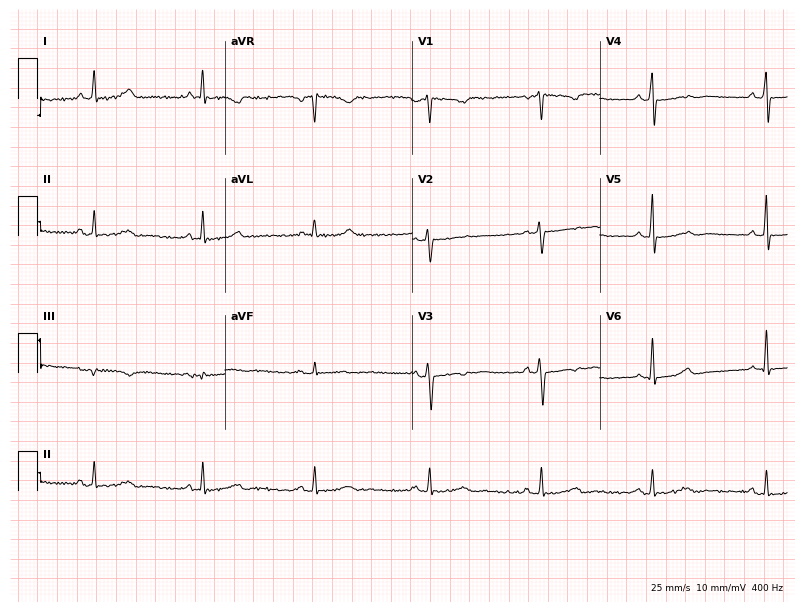
Resting 12-lead electrocardiogram (7.6-second recording at 400 Hz). Patient: a 51-year-old woman. Read as a normal ECG.